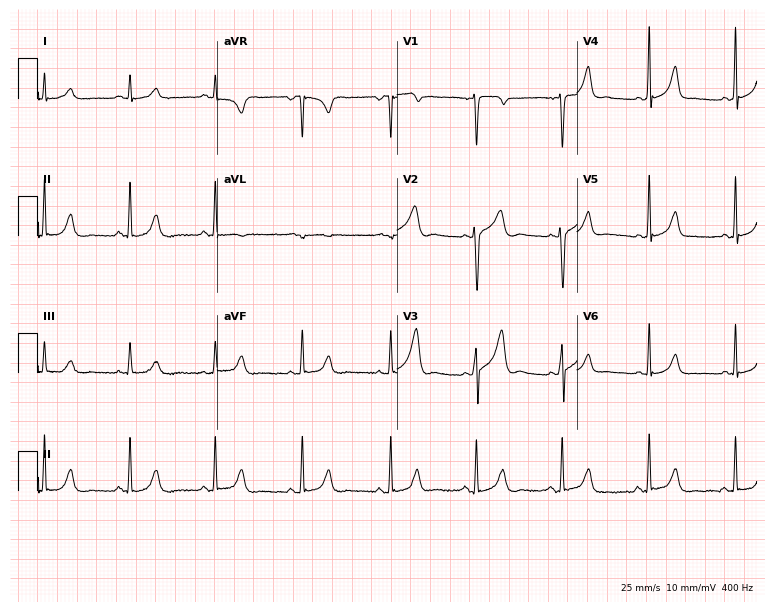
Resting 12-lead electrocardiogram. Patient: a 48-year-old male. Read as a normal ECG.